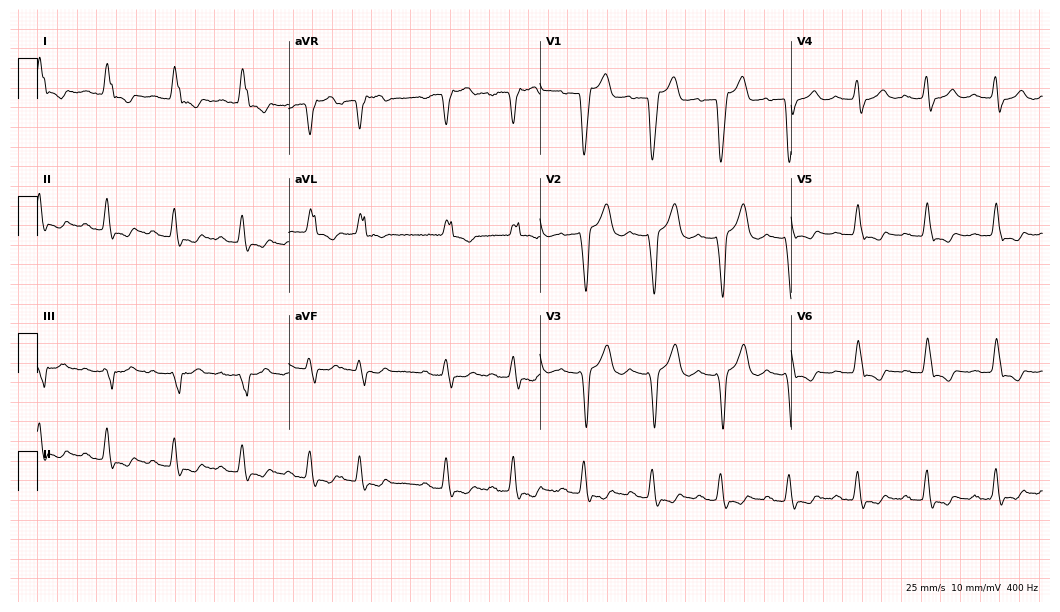
Resting 12-lead electrocardiogram (10.2-second recording at 400 Hz). Patient: an 85-year-old male. The tracing shows left bundle branch block (LBBB).